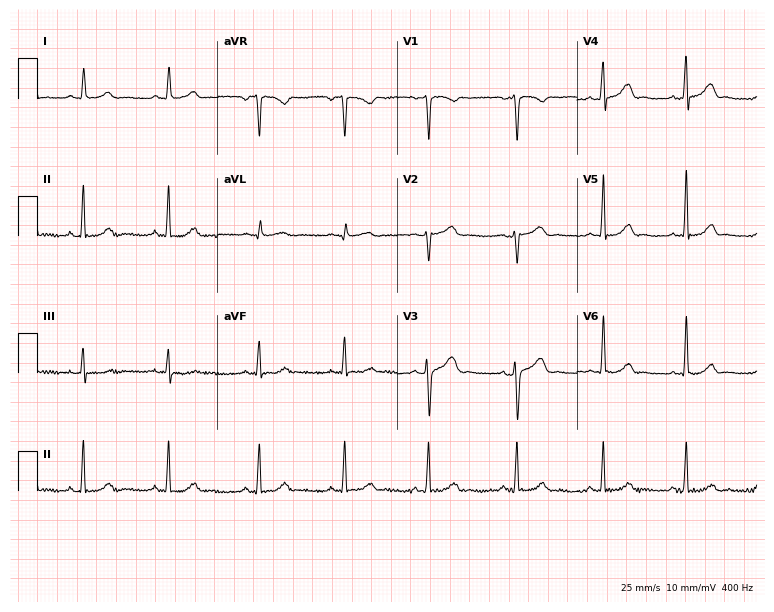
Resting 12-lead electrocardiogram (7.3-second recording at 400 Hz). Patient: a 34-year-old woman. None of these six findings is recorded: first-degree AV block, right bundle branch block, left bundle branch block, sinus bradycardia, atrial fibrillation, sinus tachycardia.